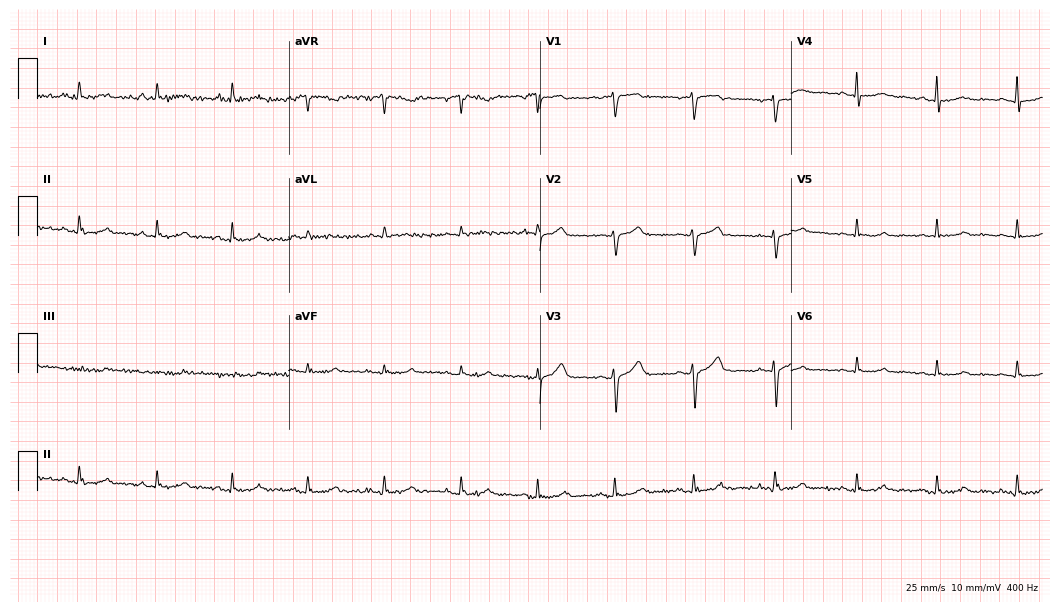
12-lead ECG (10.2-second recording at 400 Hz) from a woman, 32 years old. Labelled as a normal ECG.